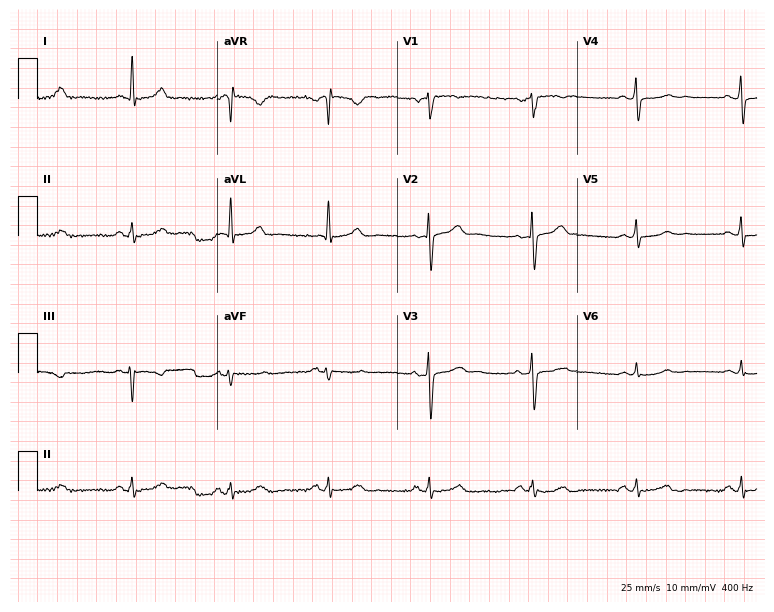
Resting 12-lead electrocardiogram (7.3-second recording at 400 Hz). Patient: a woman, 61 years old. Read as a normal ECG.